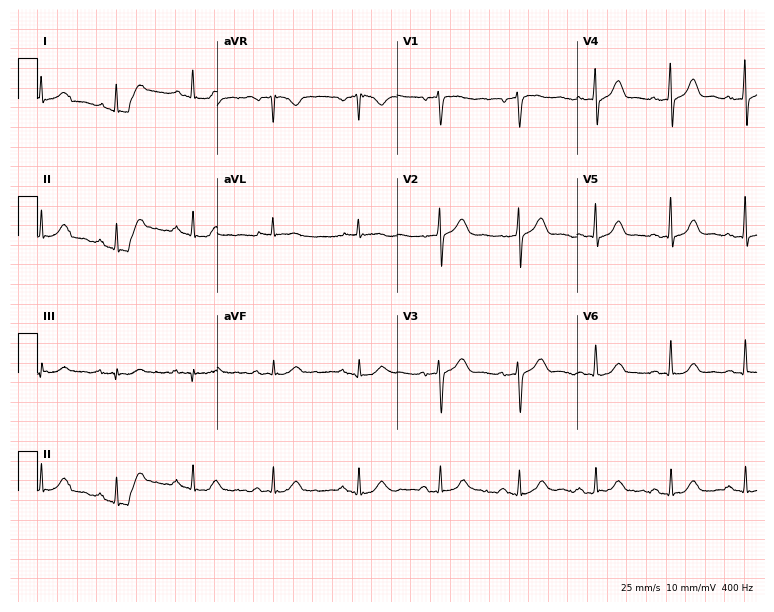
12-lead ECG (7.3-second recording at 400 Hz) from a male patient, 63 years old. Labelled as a normal ECG.